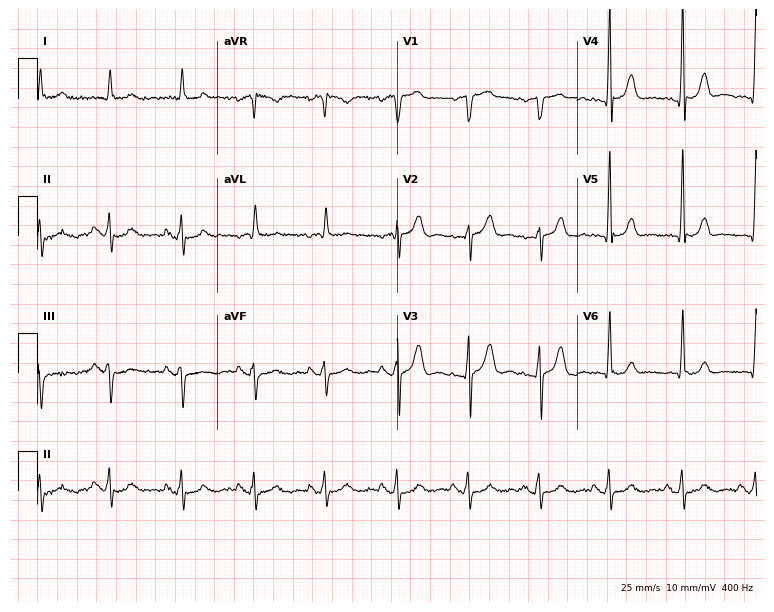
Resting 12-lead electrocardiogram (7.3-second recording at 400 Hz). Patient: a male, 79 years old. Read as a normal ECG.